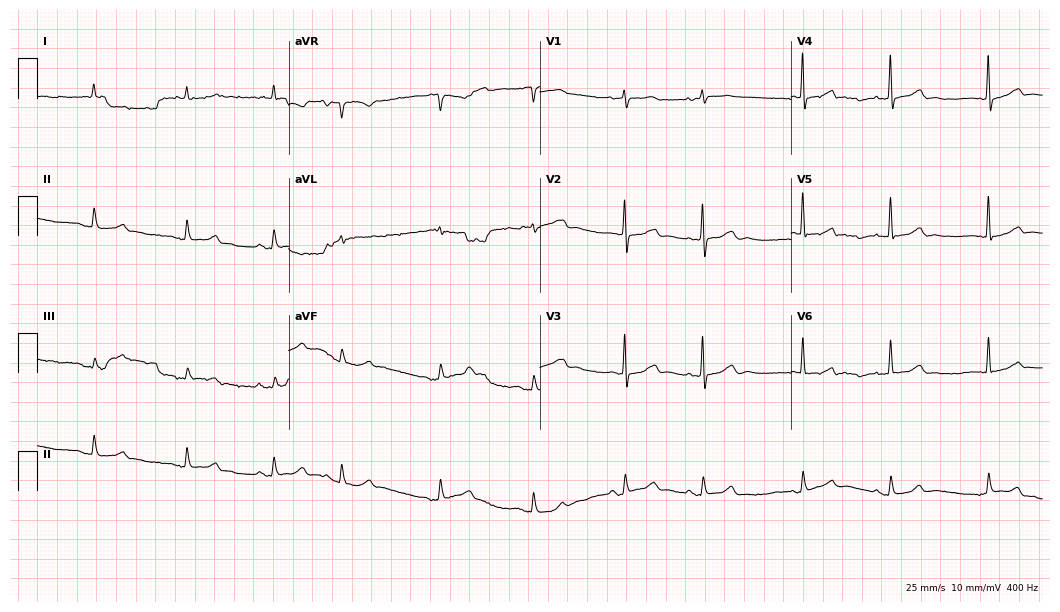
12-lead ECG from an 80-year-old woman (10.2-second recording at 400 Hz). No first-degree AV block, right bundle branch block, left bundle branch block, sinus bradycardia, atrial fibrillation or sinus tachycardia recorded for this tracing. Other findings, if any, are not listed.